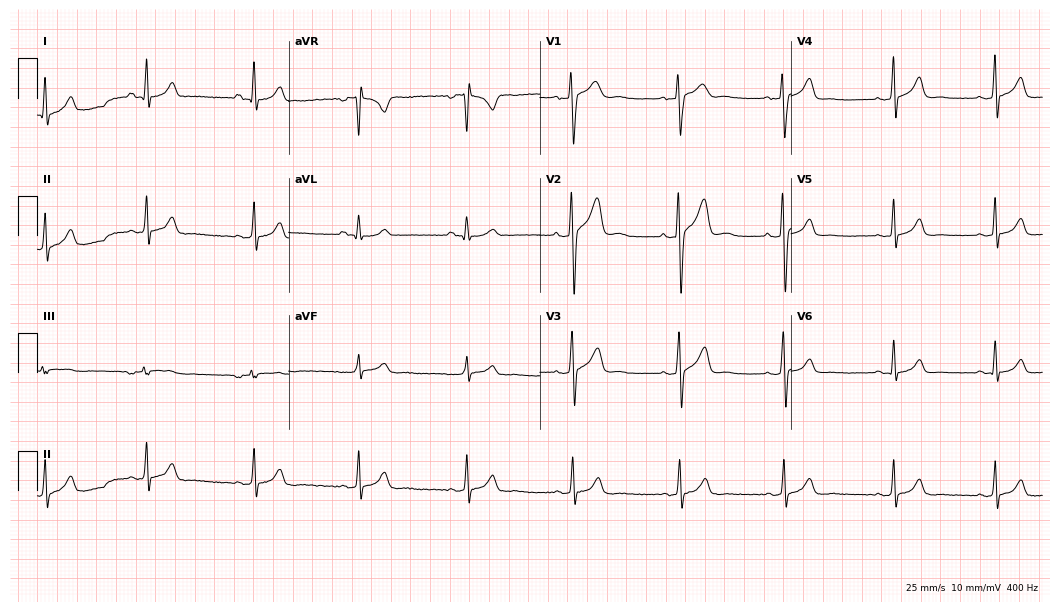
12-lead ECG from an 18-year-old man. Labelled as a normal ECG.